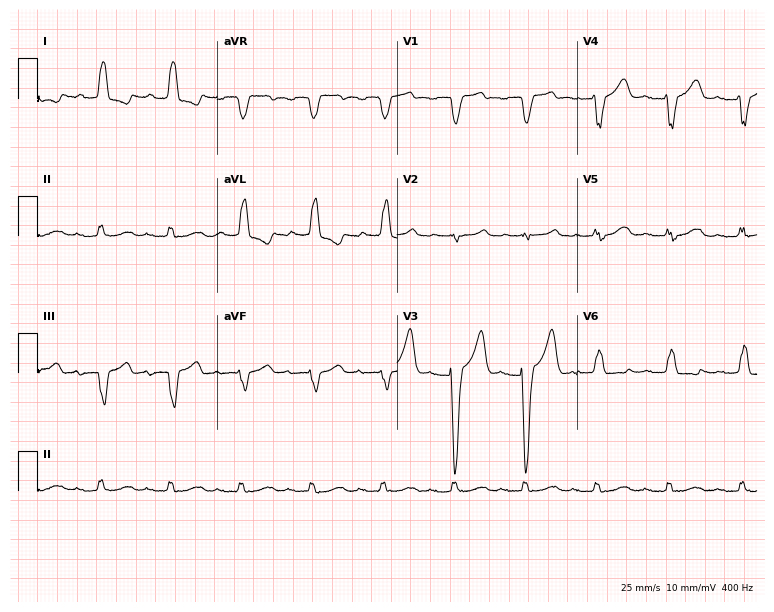
Electrocardiogram, an 83-year-old man. Interpretation includes left bundle branch block.